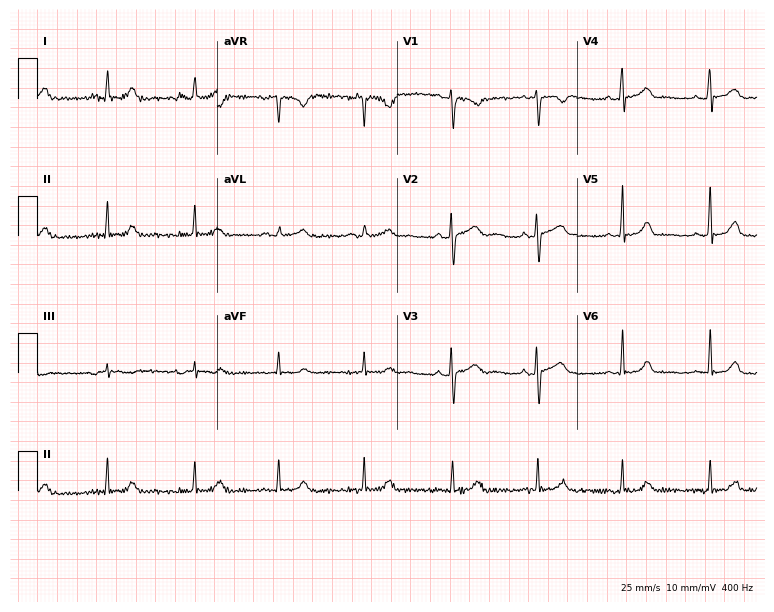
Standard 12-lead ECG recorded from a female, 41 years old. Read as a normal ECG.